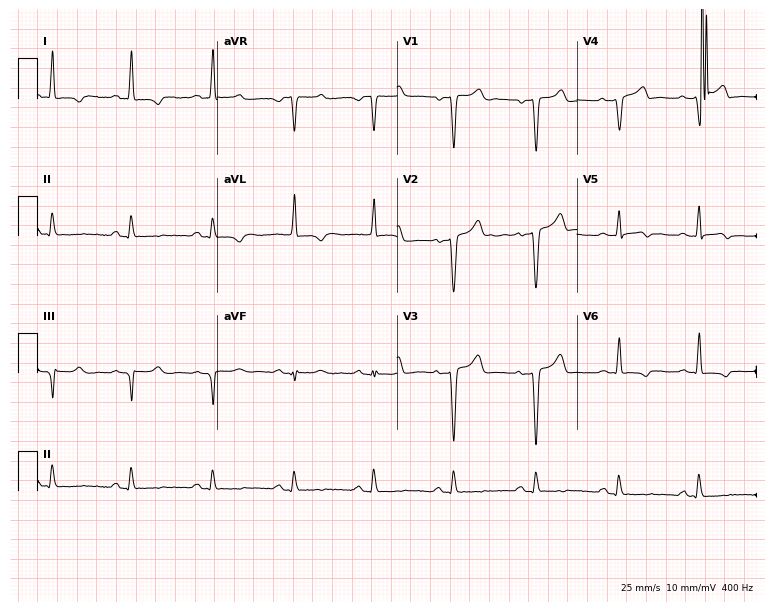
Standard 12-lead ECG recorded from a 50-year-old woman (7.3-second recording at 400 Hz). None of these six findings is recorded: first-degree AV block, right bundle branch block, left bundle branch block, sinus bradycardia, atrial fibrillation, sinus tachycardia.